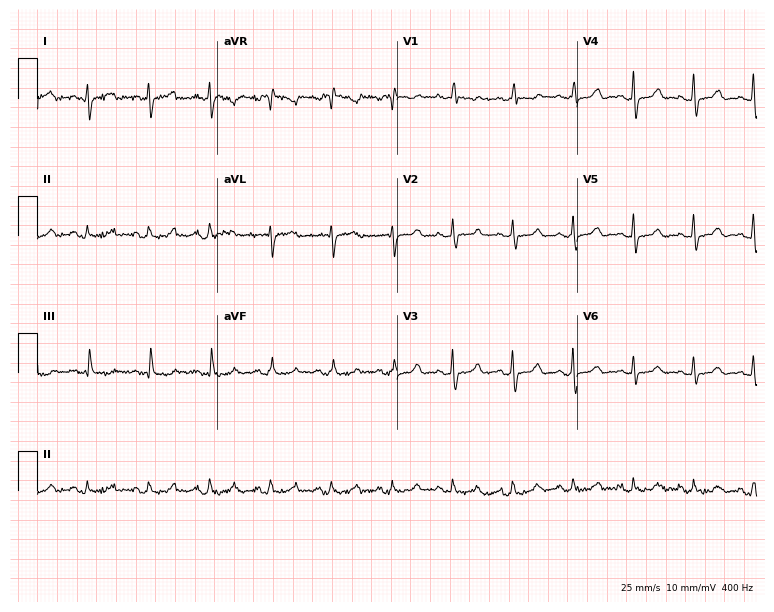
12-lead ECG from a woman, 56 years old. No first-degree AV block, right bundle branch block, left bundle branch block, sinus bradycardia, atrial fibrillation or sinus tachycardia recorded for this tracing.